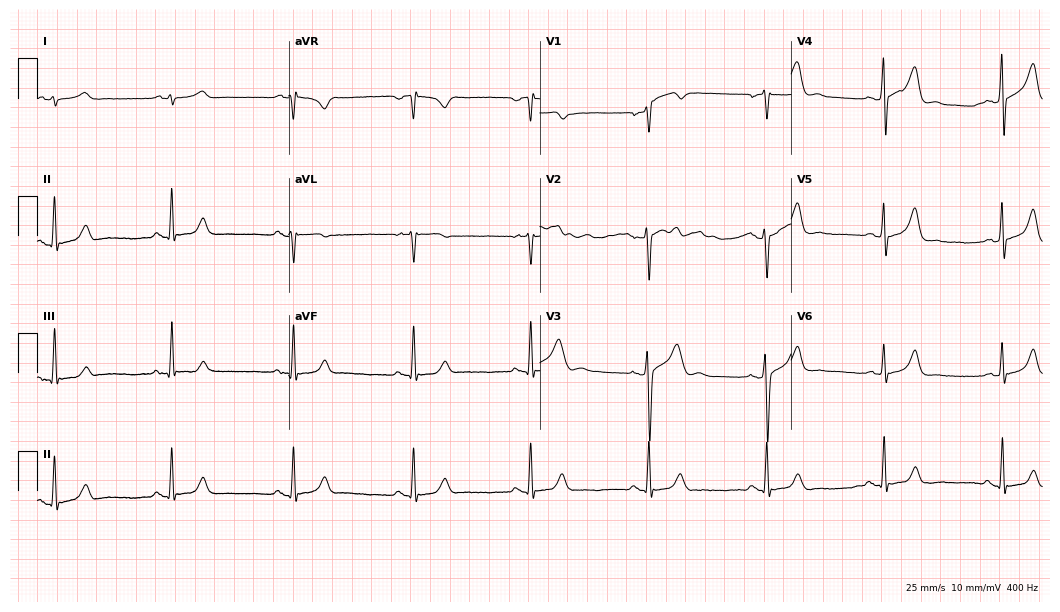
ECG (10.2-second recording at 400 Hz) — a male patient, 35 years old. Labelled as a normal ECG.